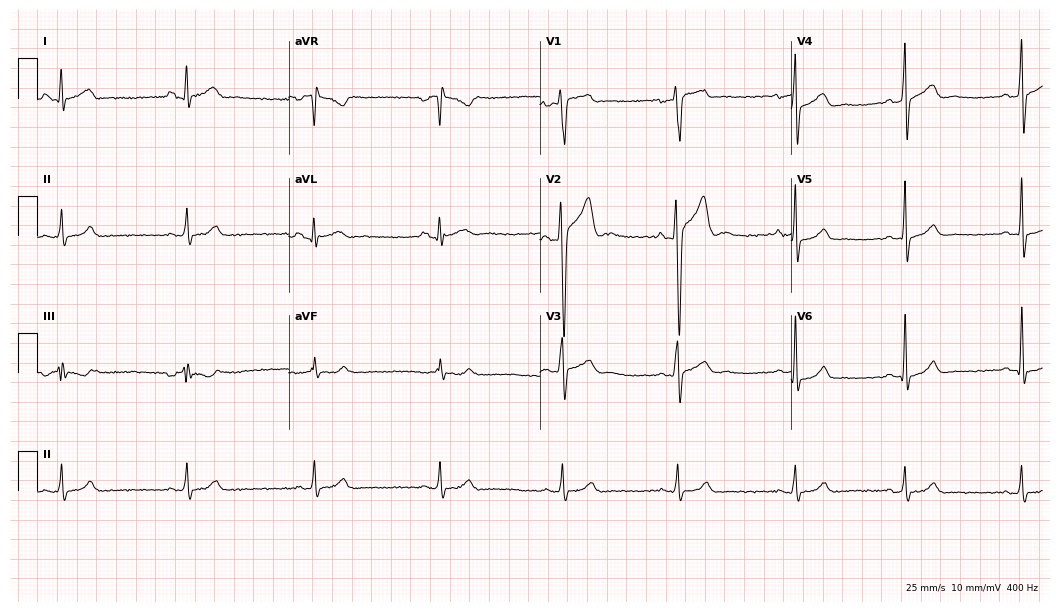
12-lead ECG (10.2-second recording at 400 Hz) from a man, 17 years old. Labelled as a normal ECG.